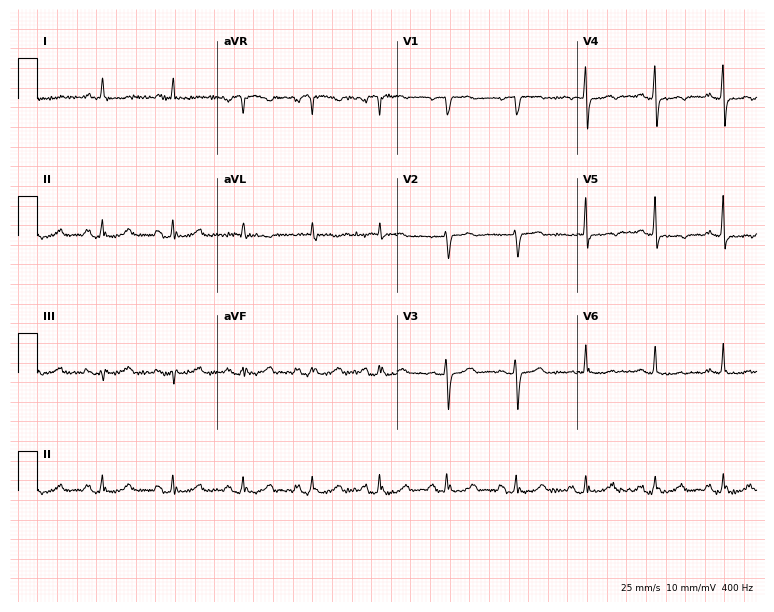
Electrocardiogram, a woman, 72 years old. Overall reading on record: normal ECG.